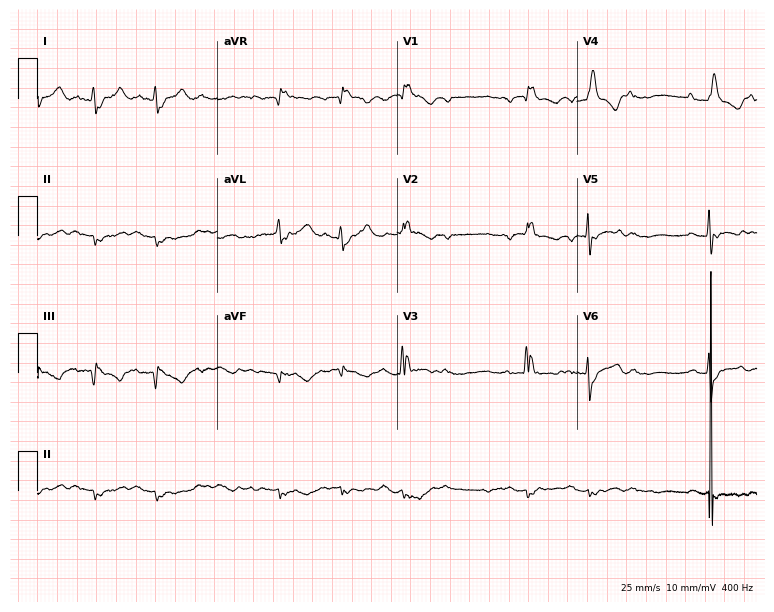
Electrocardiogram, a 75-year-old man. Of the six screened findings (first-degree AV block, right bundle branch block (RBBB), left bundle branch block (LBBB), sinus bradycardia, atrial fibrillation (AF), sinus tachycardia), none is recorded.